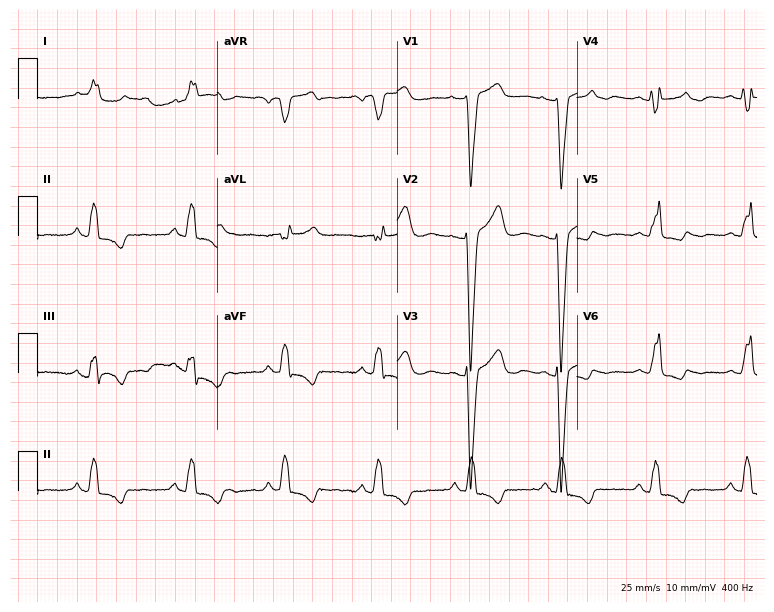
Standard 12-lead ECG recorded from a 53-year-old female. The tracing shows left bundle branch block (LBBB).